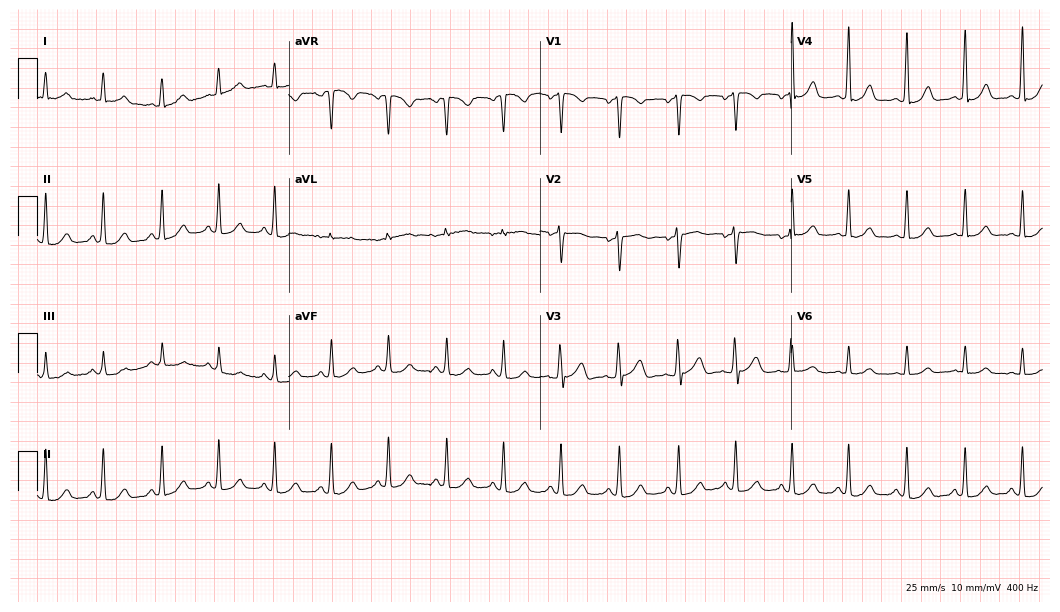
12-lead ECG from a 37-year-old female patient. No first-degree AV block, right bundle branch block, left bundle branch block, sinus bradycardia, atrial fibrillation or sinus tachycardia recorded for this tracing. Findings outside these six are not listed.